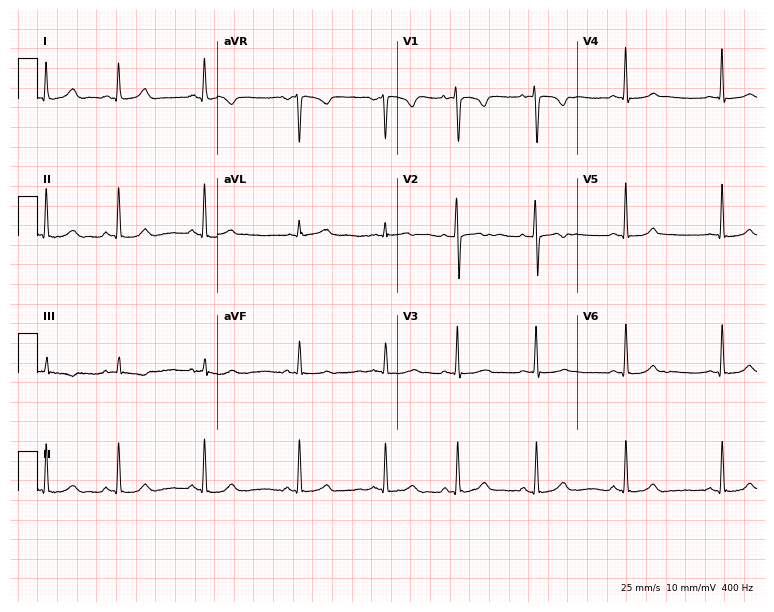
12-lead ECG from a 21-year-old female patient. Screened for six findings — first-degree AV block, right bundle branch block, left bundle branch block, sinus bradycardia, atrial fibrillation, sinus tachycardia — none is recorded.